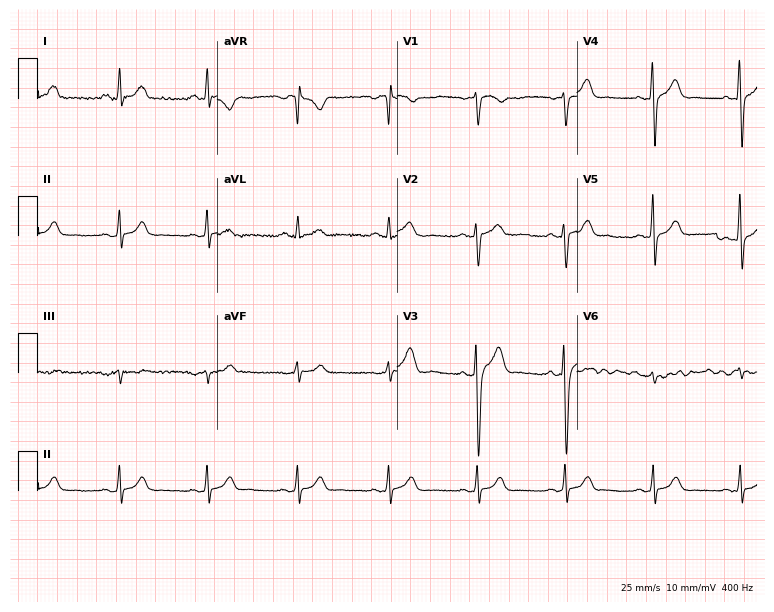
12-lead ECG from a man, 39 years old (7.3-second recording at 400 Hz). Recorded interpretation: within normal limits.